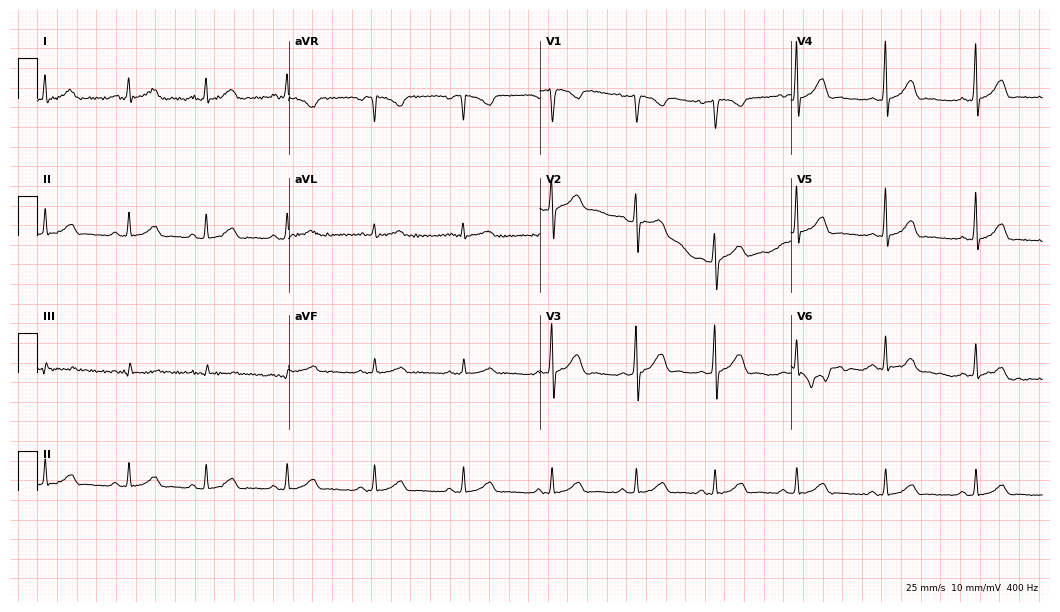
12-lead ECG (10.2-second recording at 400 Hz) from a 24-year-old female. Labelled as a normal ECG.